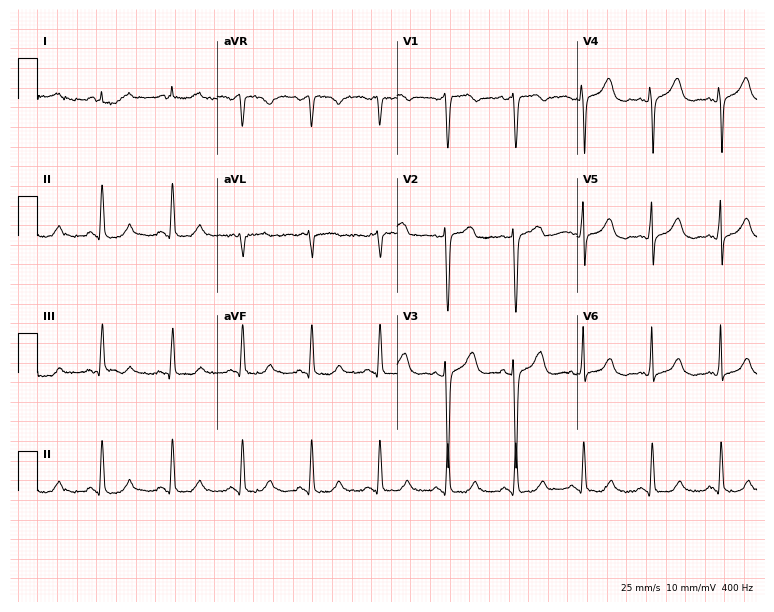
Electrocardiogram (7.3-second recording at 400 Hz), a 56-year-old male. Overall reading on record: normal ECG.